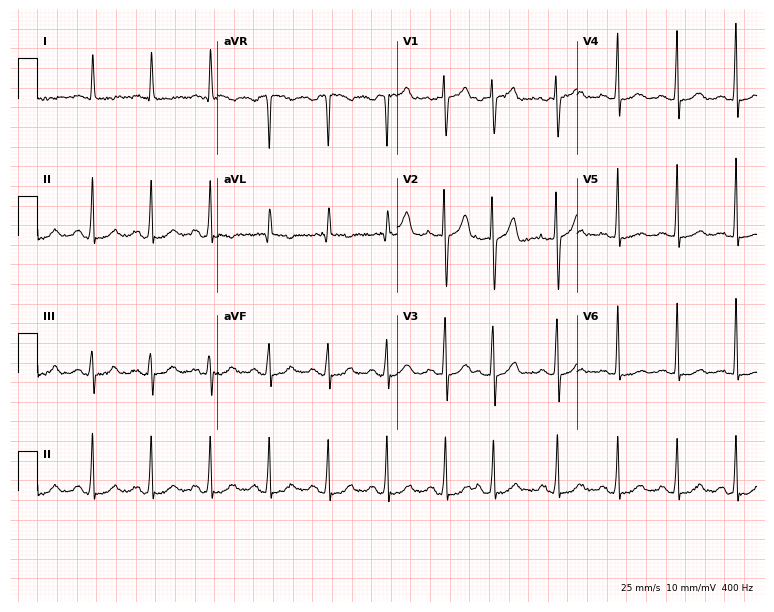
ECG — a female, 85 years old. Findings include sinus tachycardia (a sinus rate of 100 beats per minute or more).